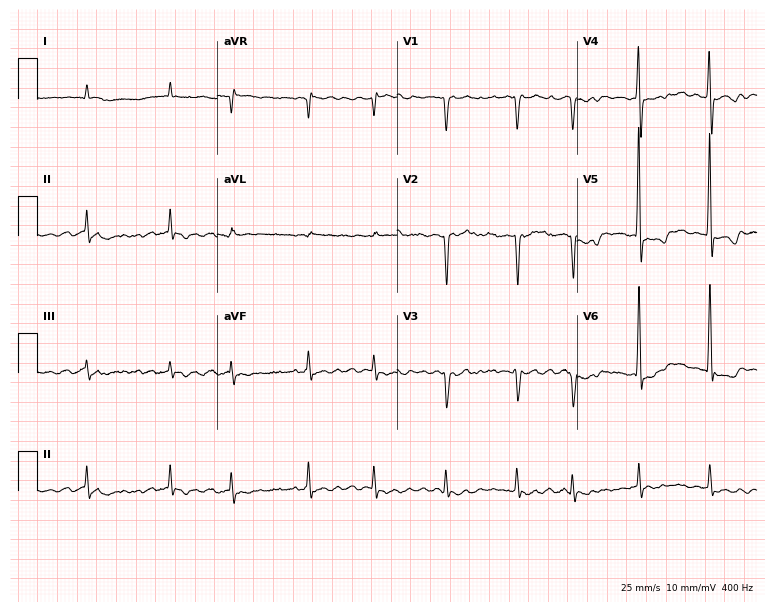
Electrocardiogram, an 80-year-old male. Interpretation includes atrial fibrillation.